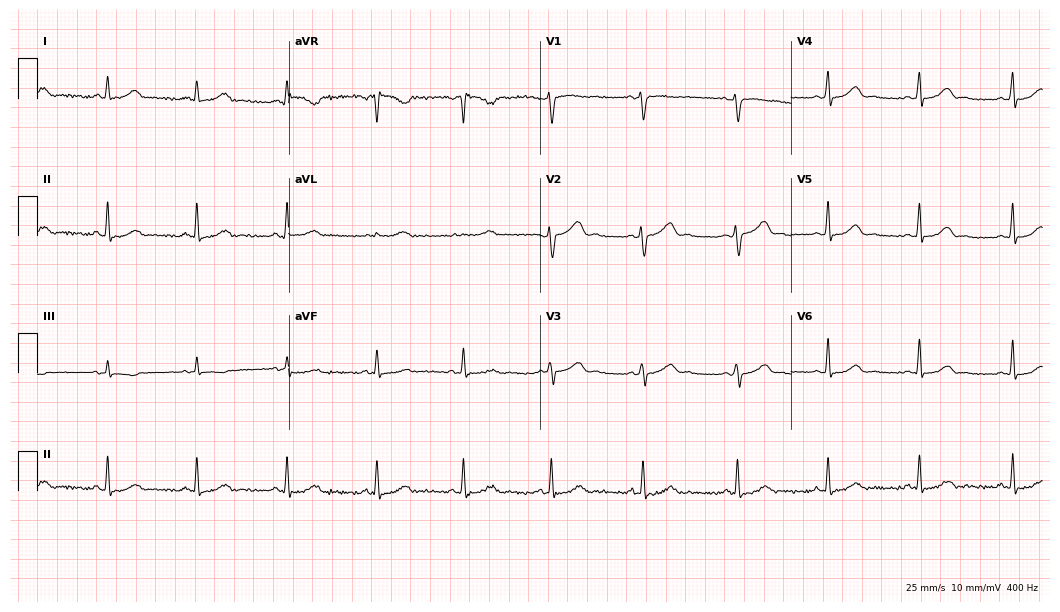
Electrocardiogram (10.2-second recording at 400 Hz), a 34-year-old woman. Of the six screened findings (first-degree AV block, right bundle branch block, left bundle branch block, sinus bradycardia, atrial fibrillation, sinus tachycardia), none is recorded.